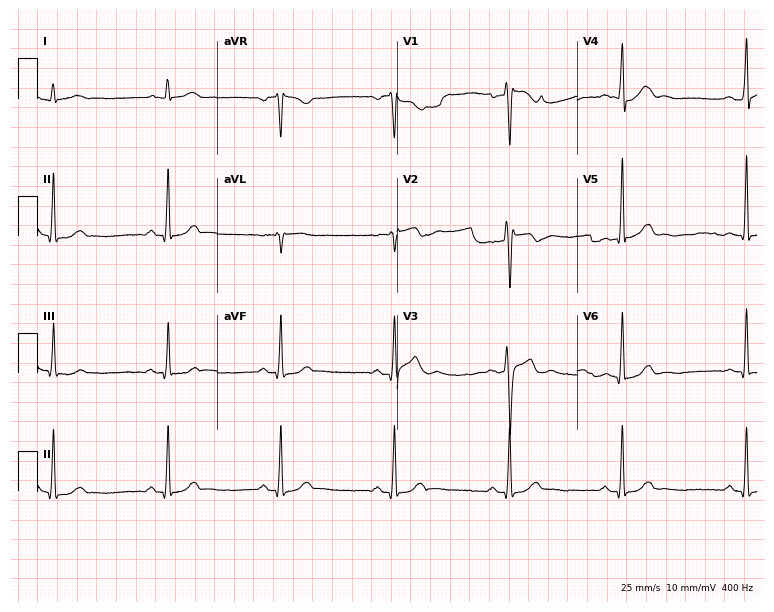
12-lead ECG from a male patient, 29 years old (7.3-second recording at 400 Hz). Recorded interpretation: within normal limits.